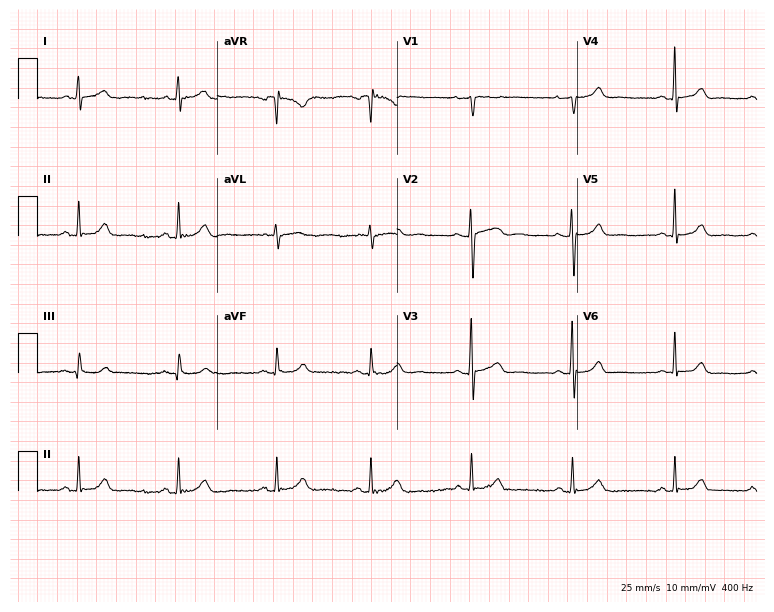
12-lead ECG from a female patient, 45 years old. No first-degree AV block, right bundle branch block (RBBB), left bundle branch block (LBBB), sinus bradycardia, atrial fibrillation (AF) or sinus tachycardia recorded for this tracing.